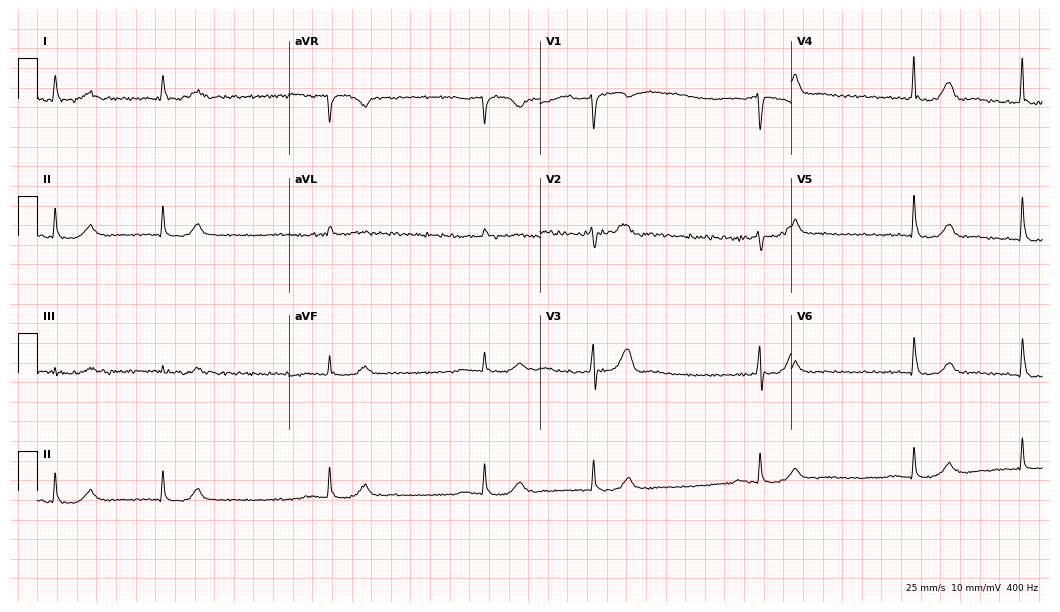
ECG — a 79-year-old male. Findings include sinus bradycardia (a sinus rate of 50 beats per minute or less).